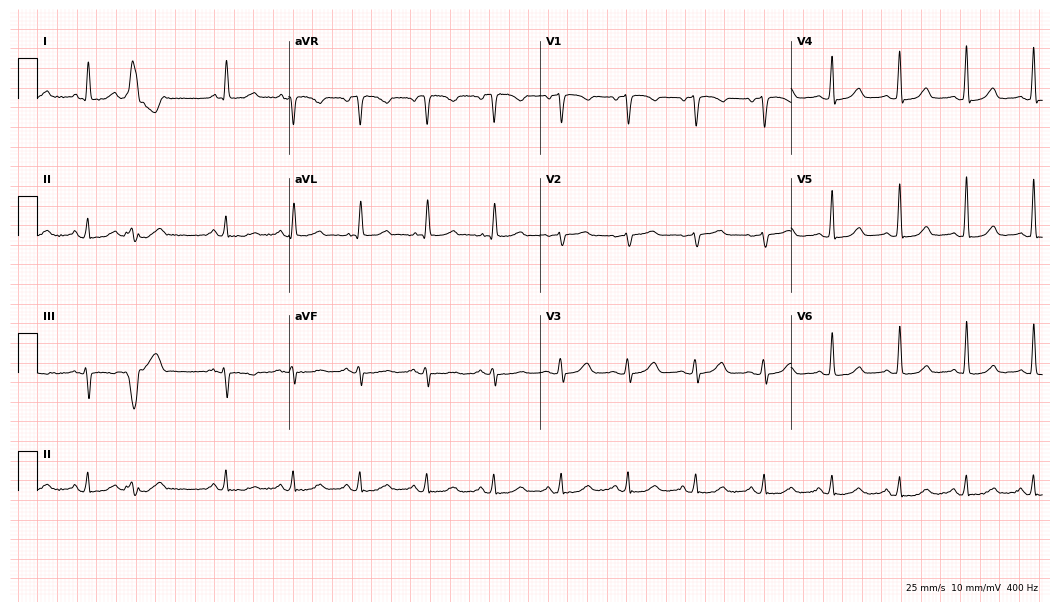
Electrocardiogram, a woman, 68 years old. Of the six screened findings (first-degree AV block, right bundle branch block, left bundle branch block, sinus bradycardia, atrial fibrillation, sinus tachycardia), none is recorded. Only these six findings were labelled.